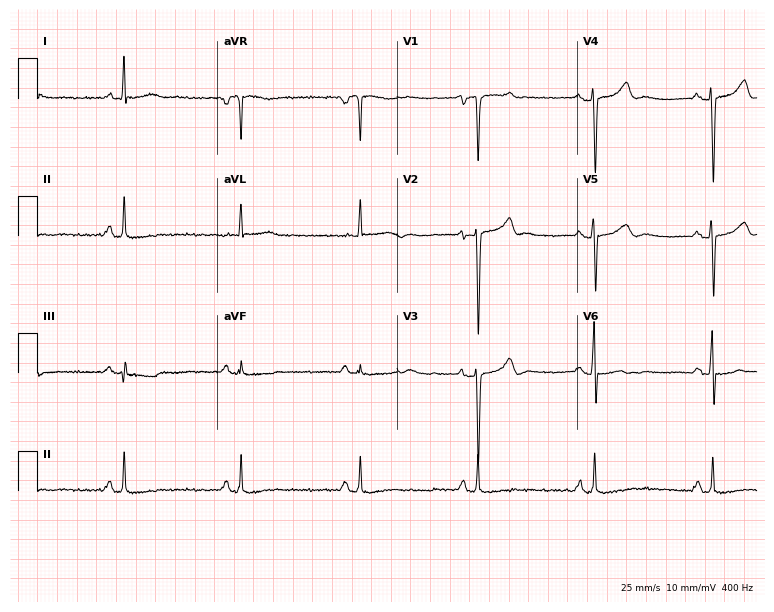
12-lead ECG from a 65-year-old man (7.3-second recording at 400 Hz). Shows sinus bradycardia (a sinus rate of 50 beats per minute or less).